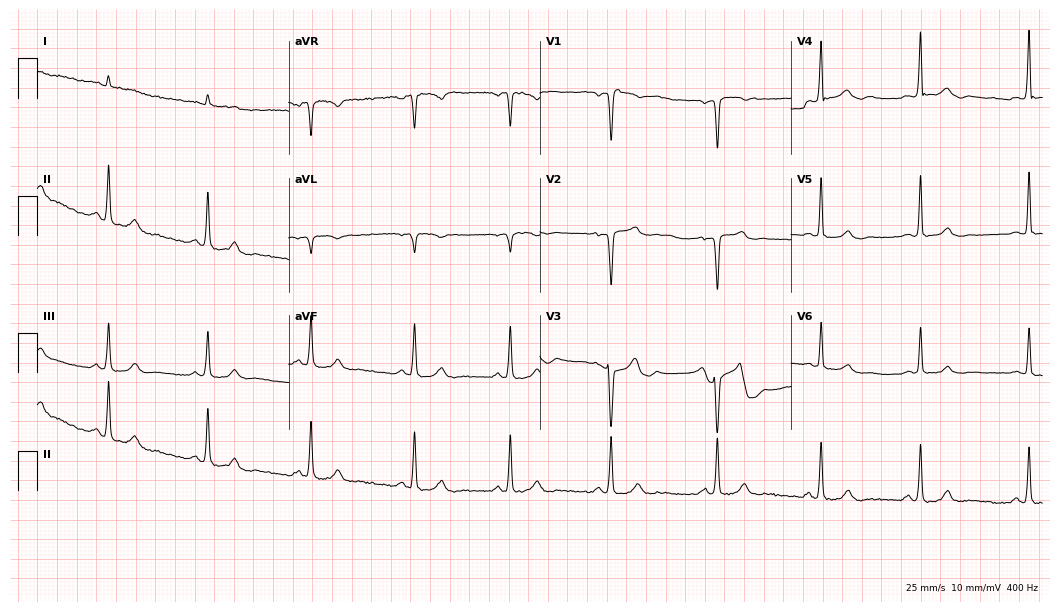
ECG (10.2-second recording at 400 Hz) — a male, 50 years old. Screened for six findings — first-degree AV block, right bundle branch block (RBBB), left bundle branch block (LBBB), sinus bradycardia, atrial fibrillation (AF), sinus tachycardia — none is recorded. Findings outside these six are not listed.